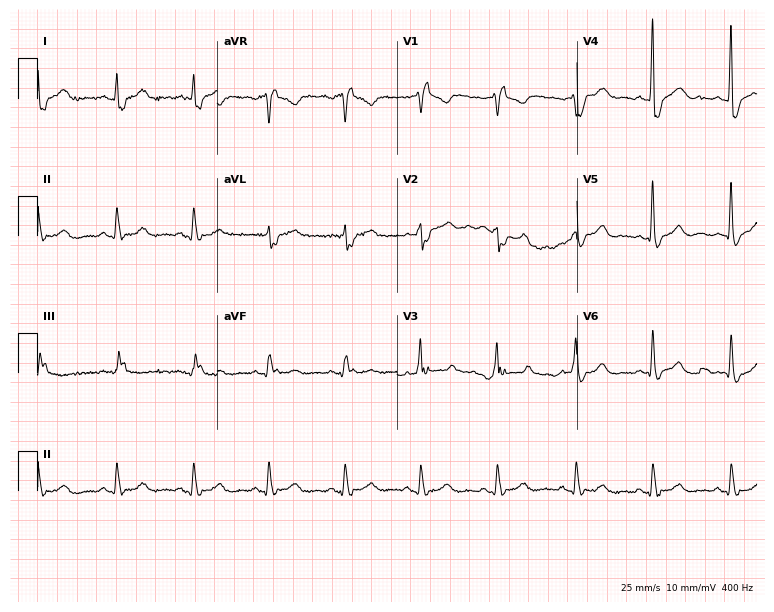
Standard 12-lead ECG recorded from a man, 79 years old. None of these six findings is recorded: first-degree AV block, right bundle branch block (RBBB), left bundle branch block (LBBB), sinus bradycardia, atrial fibrillation (AF), sinus tachycardia.